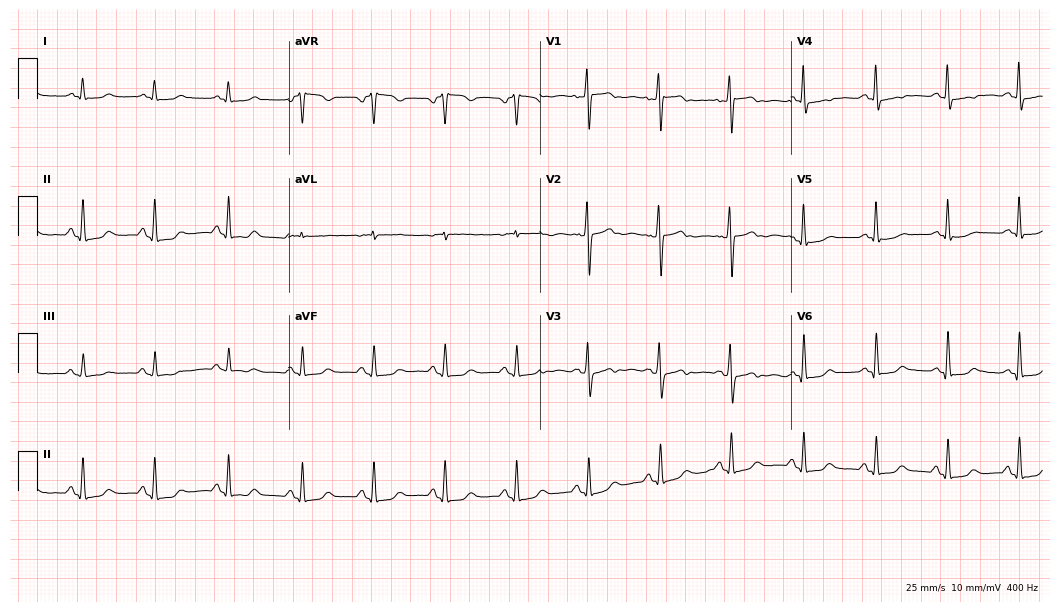
ECG (10.2-second recording at 400 Hz) — a 58-year-old female patient. Screened for six findings — first-degree AV block, right bundle branch block, left bundle branch block, sinus bradycardia, atrial fibrillation, sinus tachycardia — none is recorded. Findings outside these six are not listed.